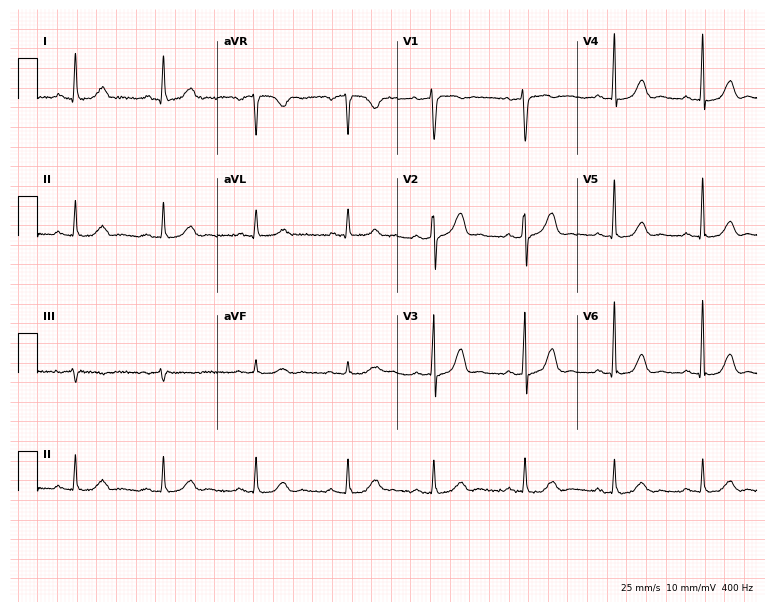
Standard 12-lead ECG recorded from a woman, 66 years old (7.3-second recording at 400 Hz). None of these six findings is recorded: first-degree AV block, right bundle branch block, left bundle branch block, sinus bradycardia, atrial fibrillation, sinus tachycardia. Other findings, if any, are not listed.